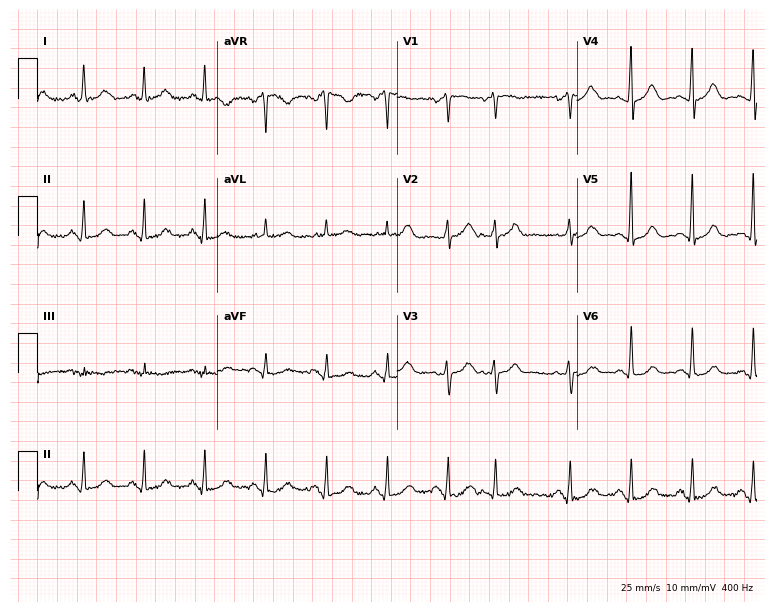
Standard 12-lead ECG recorded from a female, 74 years old. Read as a normal ECG.